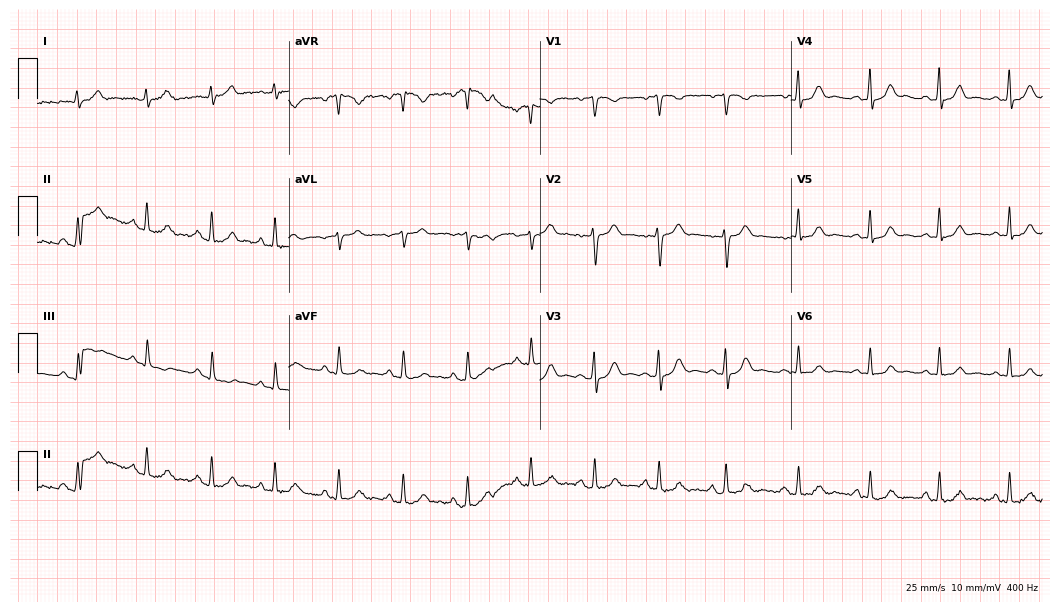
12-lead ECG from a female, 33 years old (10.2-second recording at 400 Hz). Recorded interpretation: within normal limits.